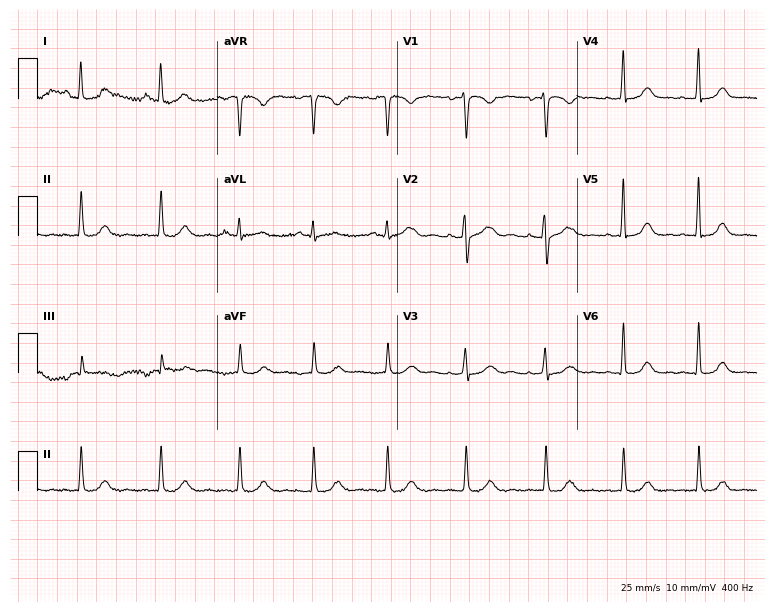
Resting 12-lead electrocardiogram. Patient: a 37-year-old woman. None of these six findings is recorded: first-degree AV block, right bundle branch block, left bundle branch block, sinus bradycardia, atrial fibrillation, sinus tachycardia.